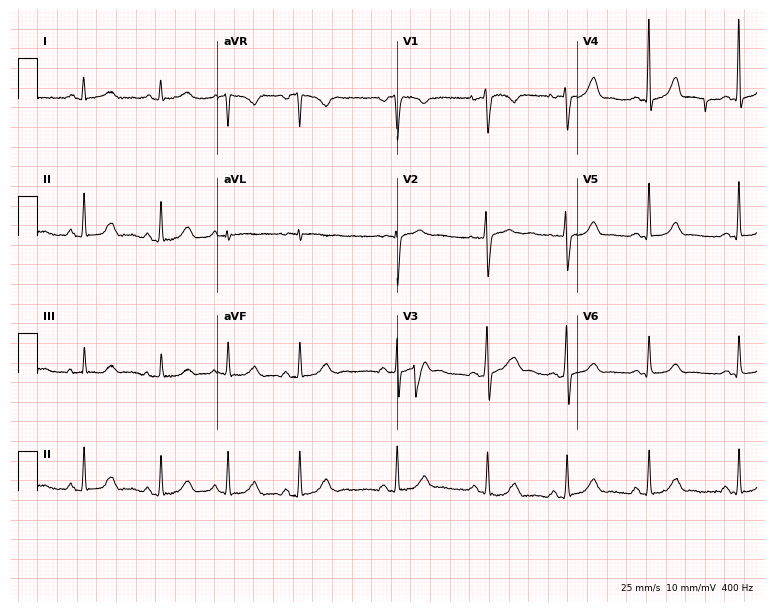
ECG (7.3-second recording at 400 Hz) — a 21-year-old female patient. Labelled as a normal ECG.